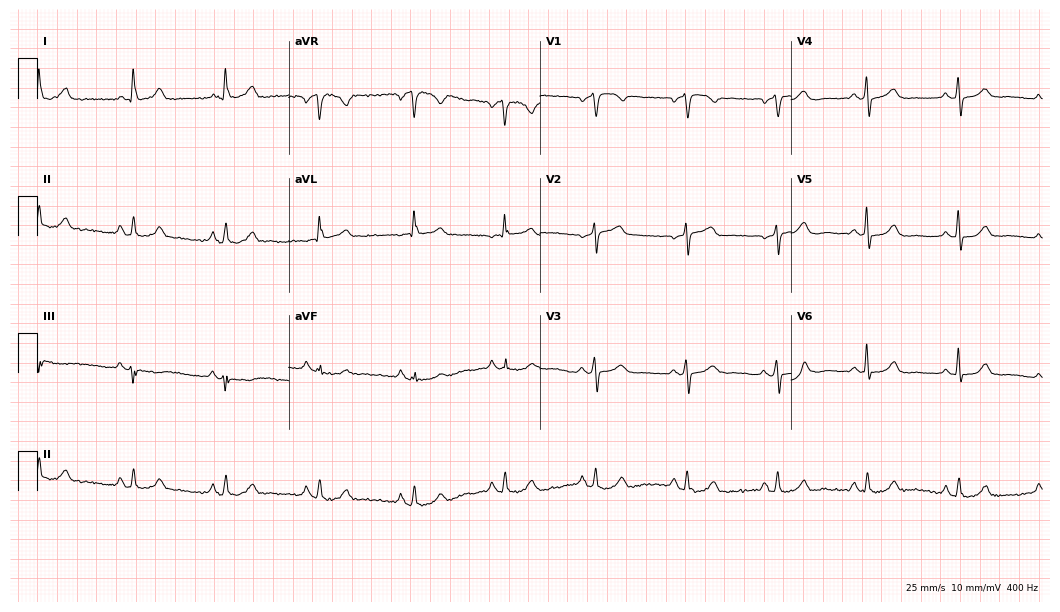
12-lead ECG from a 68-year-old female (10.2-second recording at 400 Hz). Recorded interpretation: within normal limits.